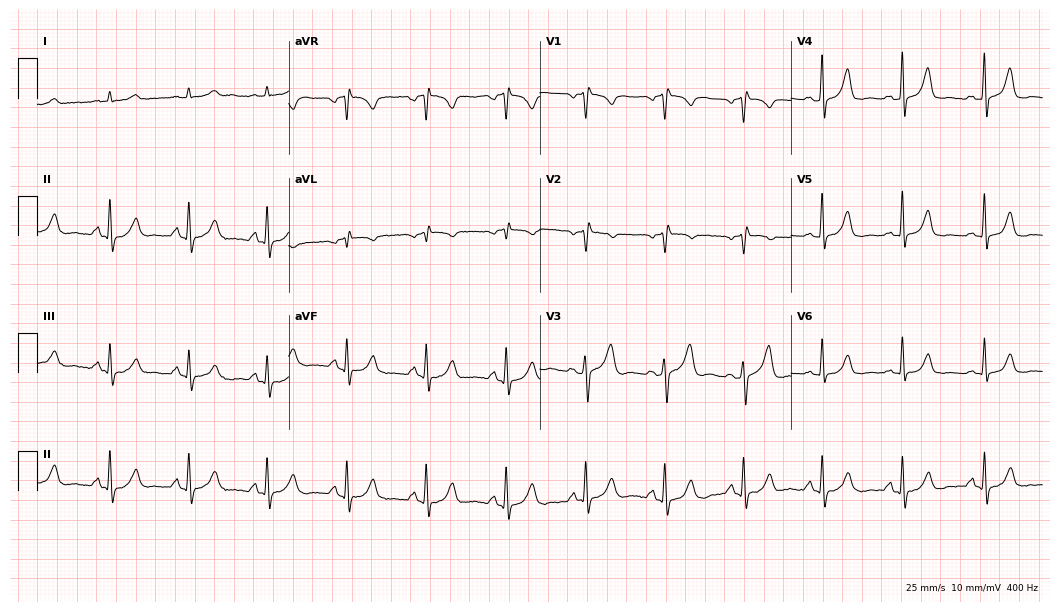
ECG (10.2-second recording at 400 Hz) — a male patient, 63 years old. Screened for six findings — first-degree AV block, right bundle branch block, left bundle branch block, sinus bradycardia, atrial fibrillation, sinus tachycardia — none is recorded. Findings outside these six are not listed.